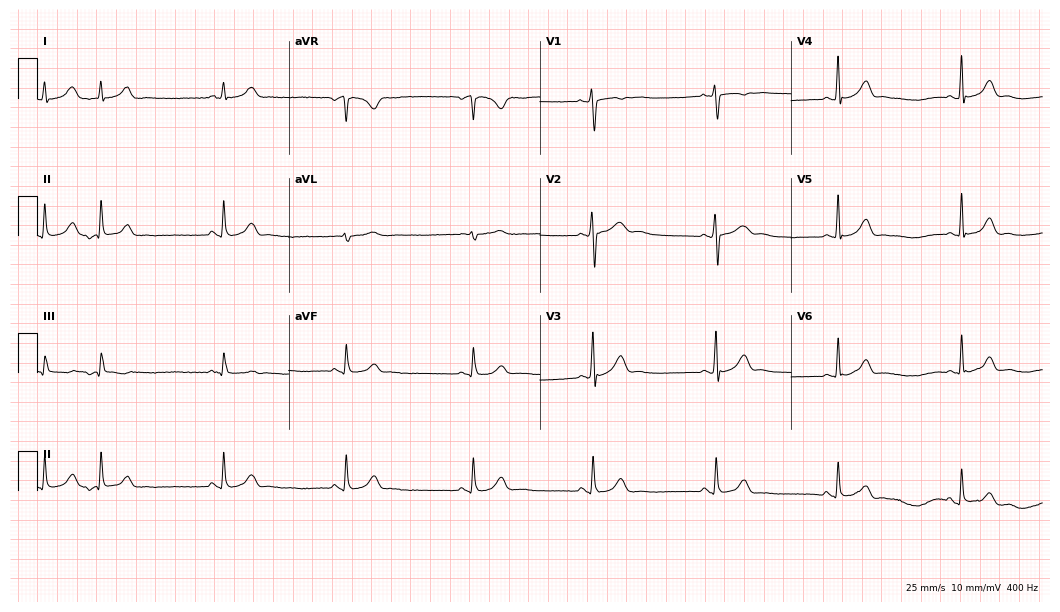
12-lead ECG (10.2-second recording at 400 Hz) from an 18-year-old woman. Screened for six findings — first-degree AV block, right bundle branch block, left bundle branch block, sinus bradycardia, atrial fibrillation, sinus tachycardia — none is recorded.